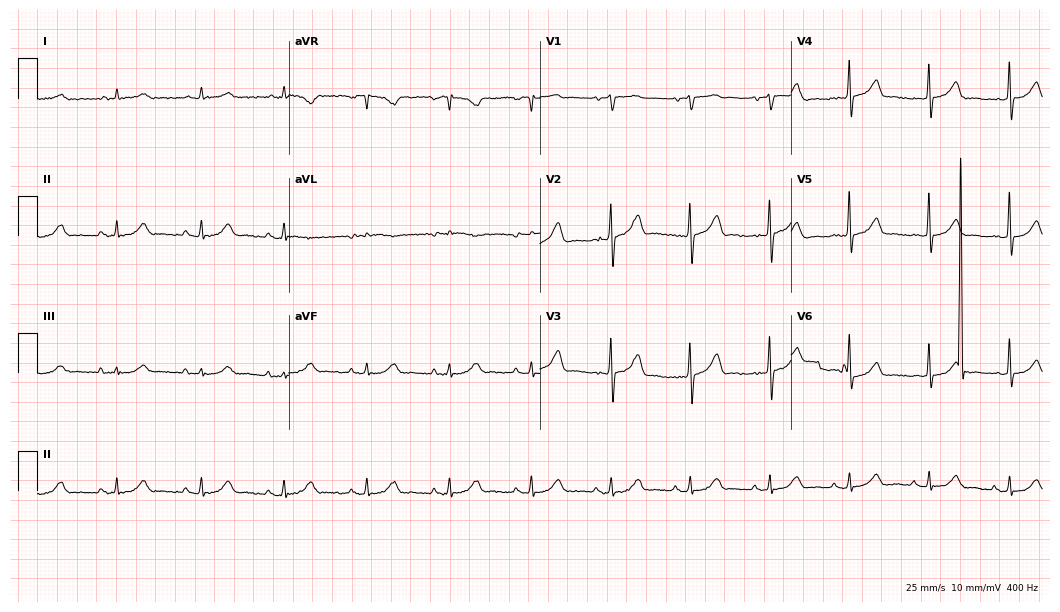
12-lead ECG from an 82-year-old man. No first-degree AV block, right bundle branch block, left bundle branch block, sinus bradycardia, atrial fibrillation or sinus tachycardia recorded for this tracing. Findings outside these six are not listed.